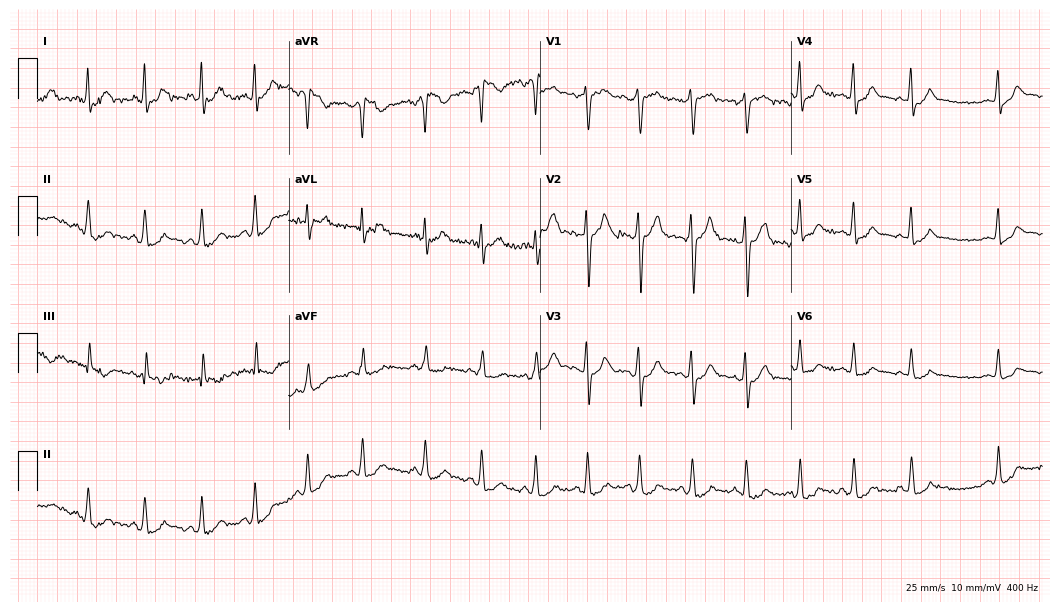
Electrocardiogram, a 17-year-old woman. Of the six screened findings (first-degree AV block, right bundle branch block (RBBB), left bundle branch block (LBBB), sinus bradycardia, atrial fibrillation (AF), sinus tachycardia), none is recorded. Findings outside these six are not listed.